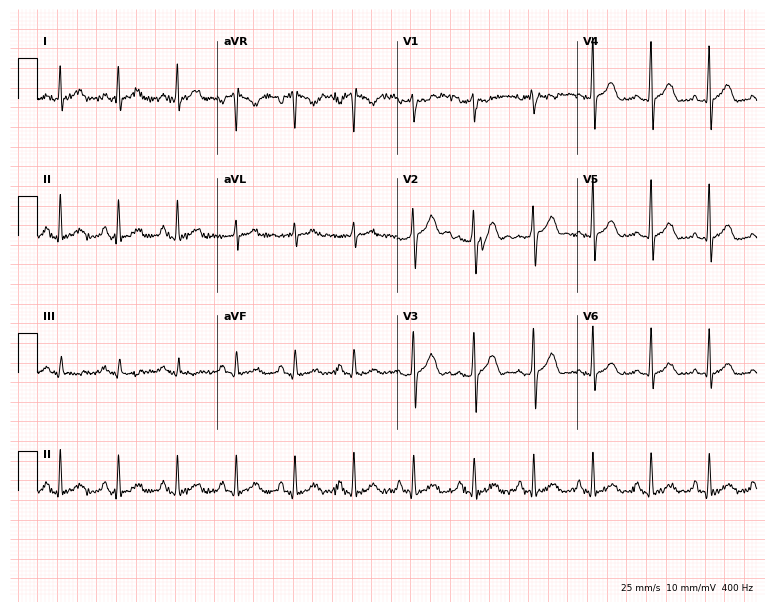
12-lead ECG from a 25-year-old man (7.3-second recording at 400 Hz). No first-degree AV block, right bundle branch block (RBBB), left bundle branch block (LBBB), sinus bradycardia, atrial fibrillation (AF) or sinus tachycardia recorded for this tracing. Other findings, if any, are not listed.